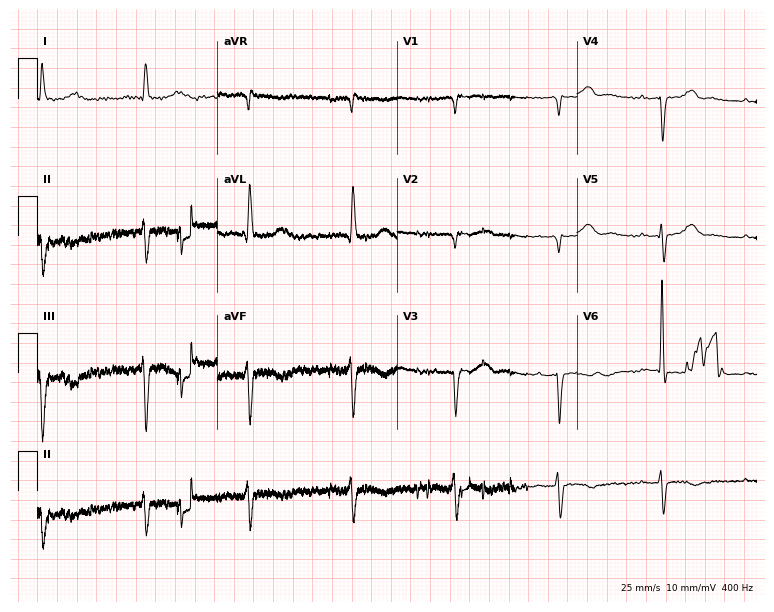
Resting 12-lead electrocardiogram (7.3-second recording at 400 Hz). Patient: an 80-year-old female. None of these six findings is recorded: first-degree AV block, right bundle branch block, left bundle branch block, sinus bradycardia, atrial fibrillation, sinus tachycardia.